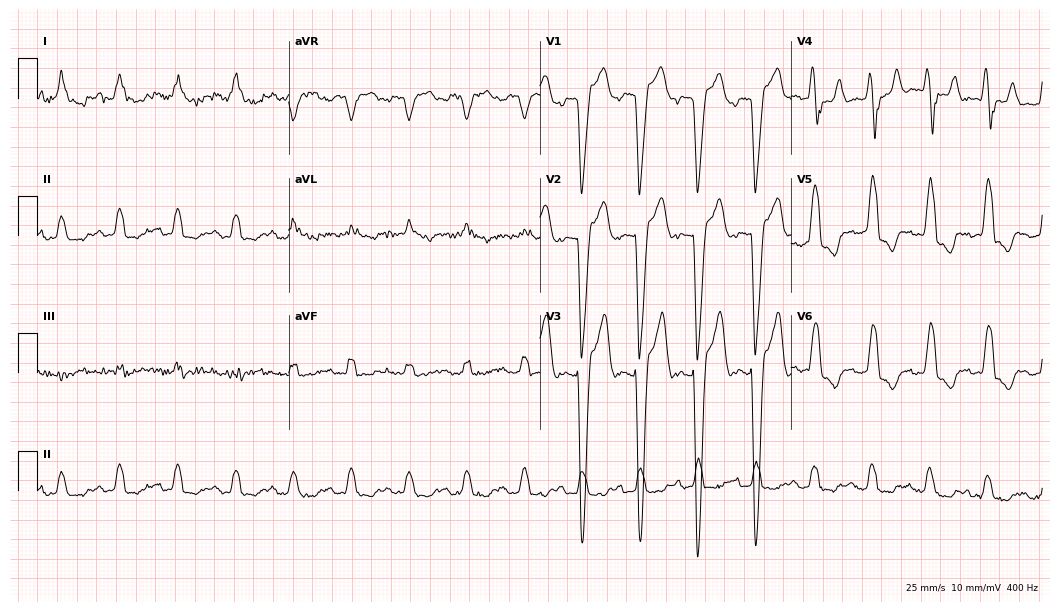
ECG (10.2-second recording at 400 Hz) — a 65-year-old male. Findings include left bundle branch block (LBBB), sinus tachycardia (a sinus rate of 100 beats per minute or more).